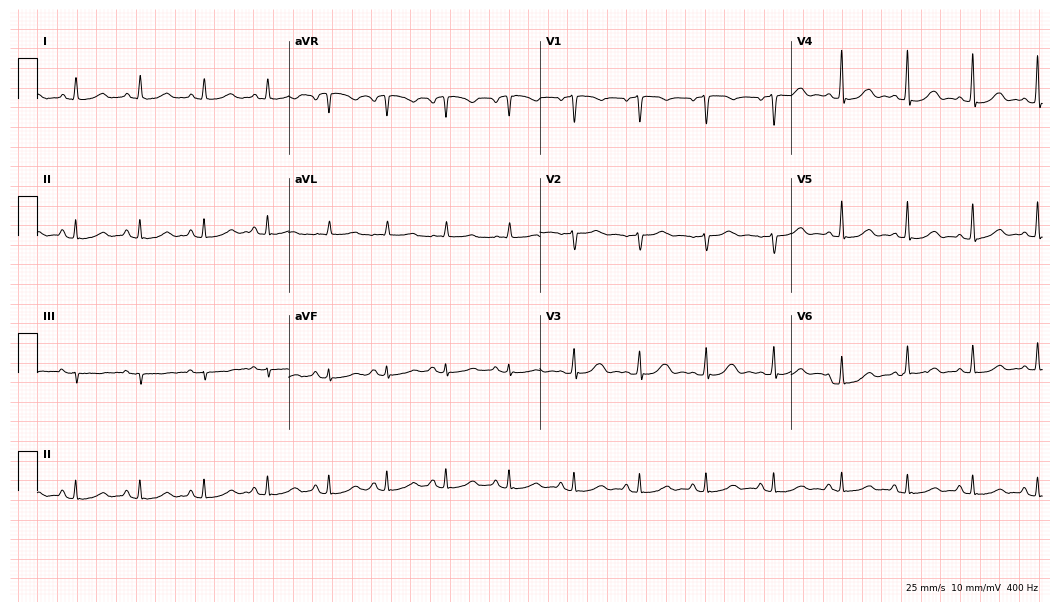
Resting 12-lead electrocardiogram (10.2-second recording at 400 Hz). Patient: a female, 46 years old. Read as a normal ECG.